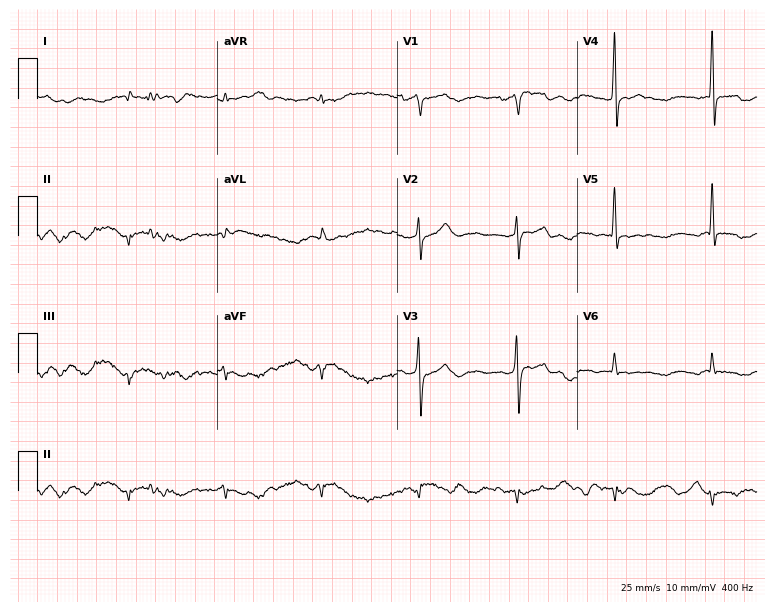
Electrocardiogram, an 84-year-old male. Of the six screened findings (first-degree AV block, right bundle branch block, left bundle branch block, sinus bradycardia, atrial fibrillation, sinus tachycardia), none is recorded.